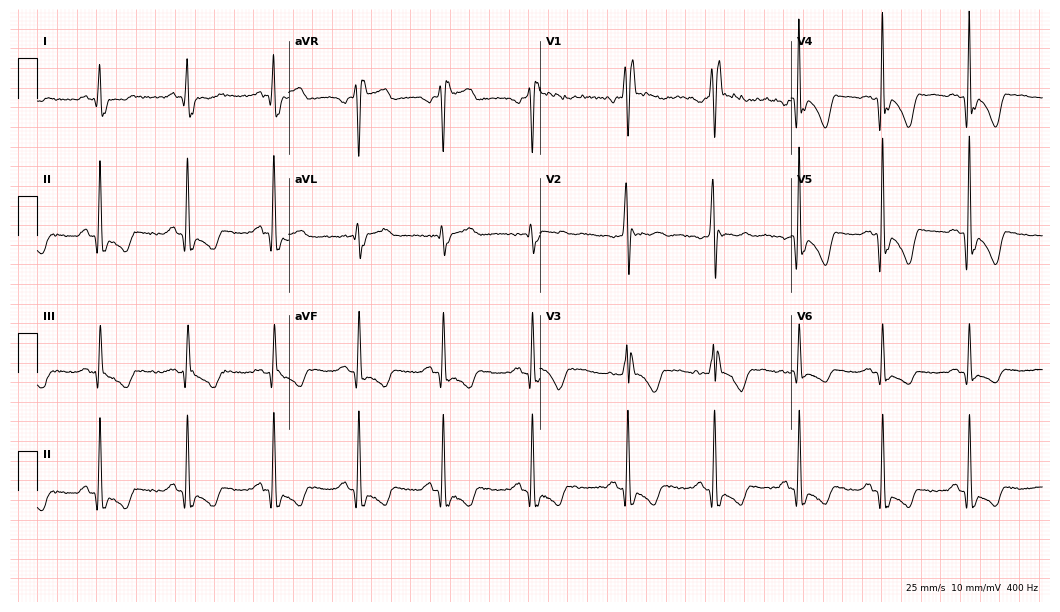
ECG (10.2-second recording at 400 Hz) — a male, 52 years old. Findings include right bundle branch block.